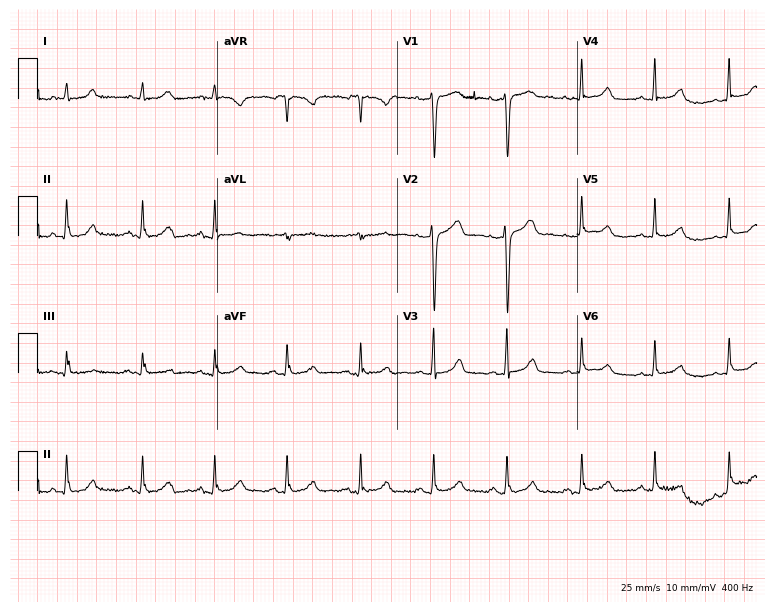
Electrocardiogram, a woman, 50 years old. Overall reading on record: normal ECG.